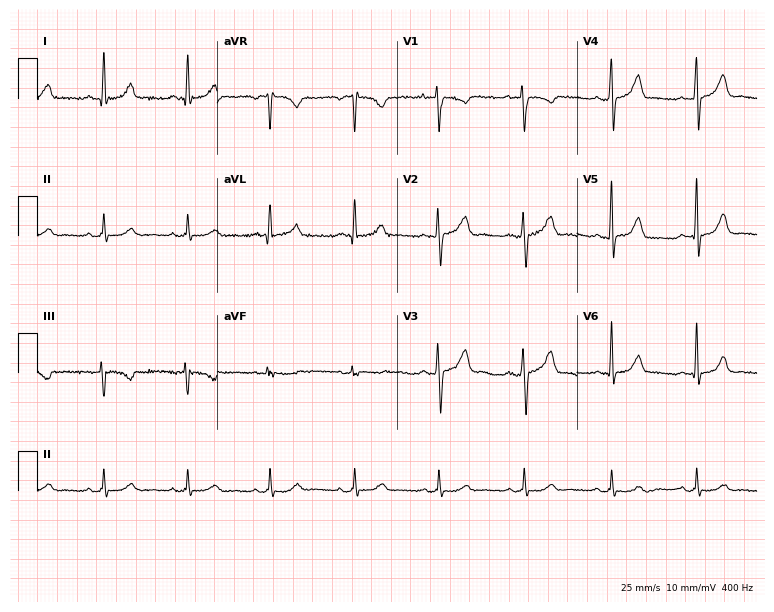
12-lead ECG from a 32-year-old female. Labelled as a normal ECG.